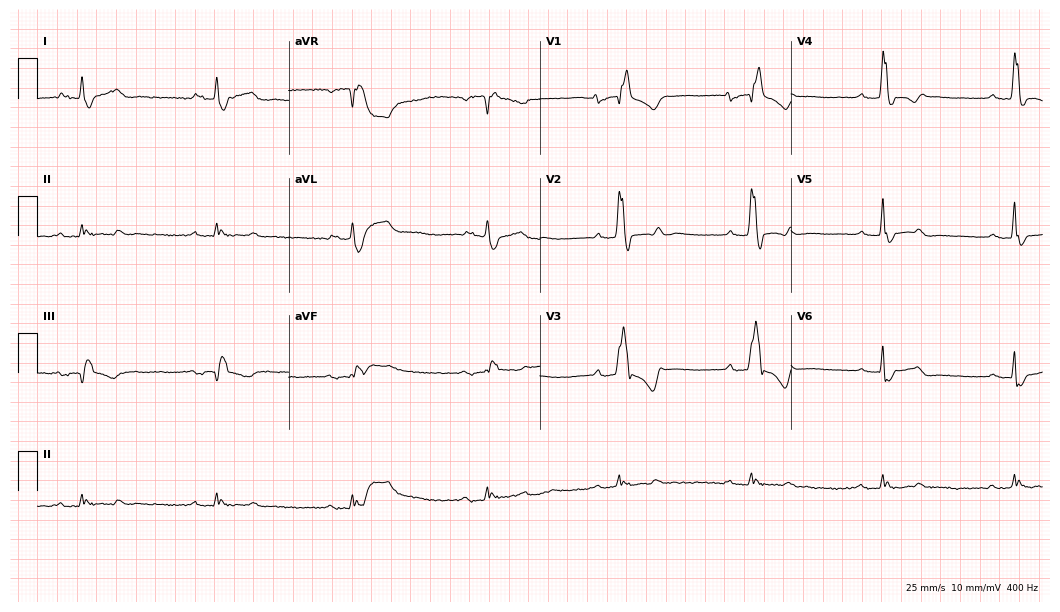
Resting 12-lead electrocardiogram (10.2-second recording at 400 Hz). Patient: a male, 68 years old. None of these six findings is recorded: first-degree AV block, right bundle branch block, left bundle branch block, sinus bradycardia, atrial fibrillation, sinus tachycardia.